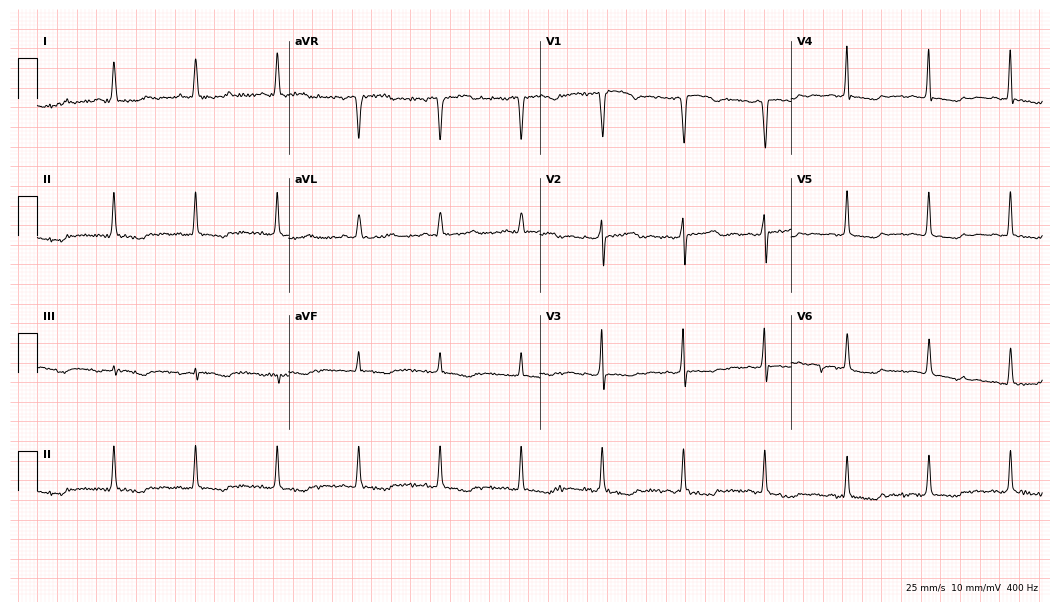
ECG (10.2-second recording at 400 Hz) — a 76-year-old female patient. Screened for six findings — first-degree AV block, right bundle branch block (RBBB), left bundle branch block (LBBB), sinus bradycardia, atrial fibrillation (AF), sinus tachycardia — none is recorded. Findings outside these six are not listed.